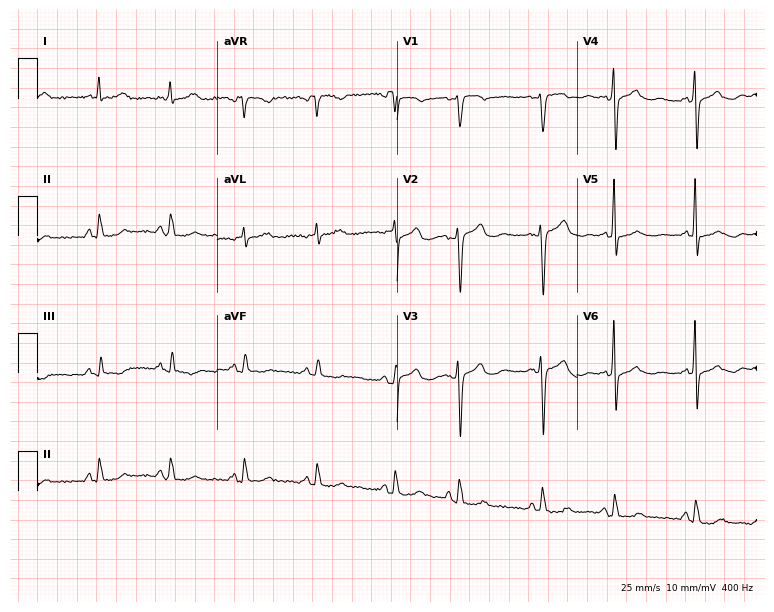
Standard 12-lead ECG recorded from a woman, 74 years old (7.3-second recording at 400 Hz). None of these six findings is recorded: first-degree AV block, right bundle branch block, left bundle branch block, sinus bradycardia, atrial fibrillation, sinus tachycardia. Findings outside these six are not listed.